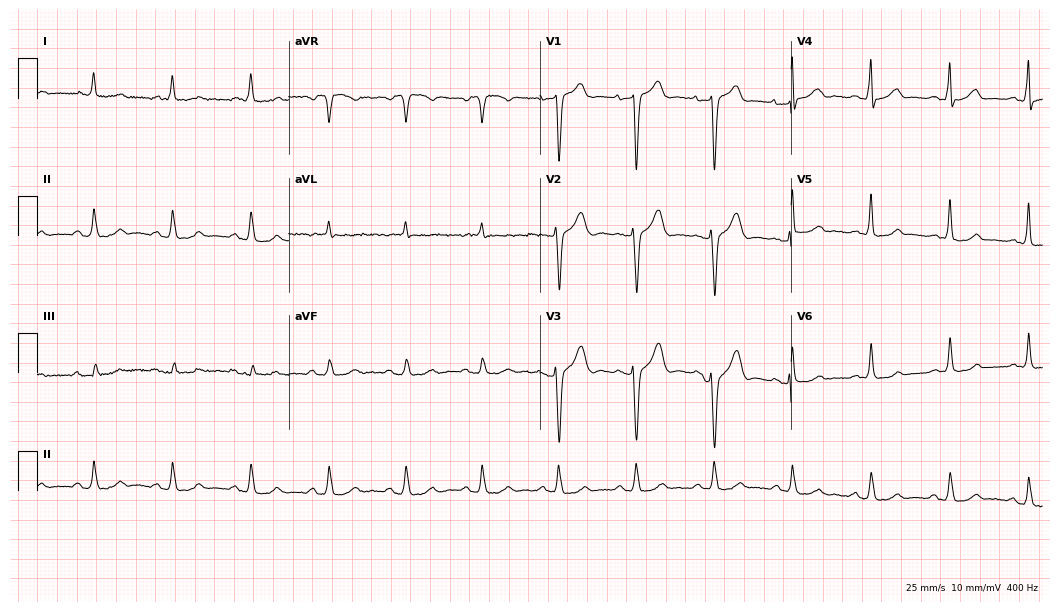
Electrocardiogram (10.2-second recording at 400 Hz), a male patient, 77 years old. Of the six screened findings (first-degree AV block, right bundle branch block, left bundle branch block, sinus bradycardia, atrial fibrillation, sinus tachycardia), none is recorded. Only these six findings were labelled.